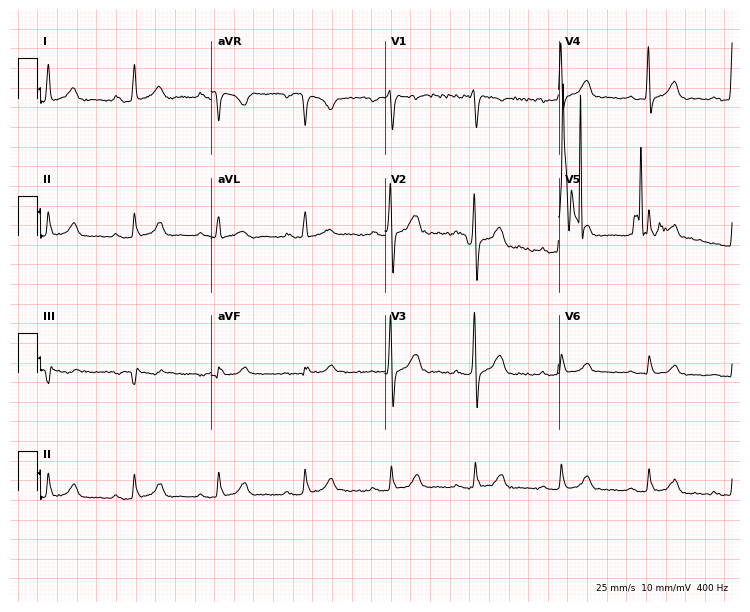
12-lead ECG (7.1-second recording at 400 Hz) from a female patient, 35 years old. Screened for six findings — first-degree AV block, right bundle branch block (RBBB), left bundle branch block (LBBB), sinus bradycardia, atrial fibrillation (AF), sinus tachycardia — none is recorded. Only these six findings were labelled.